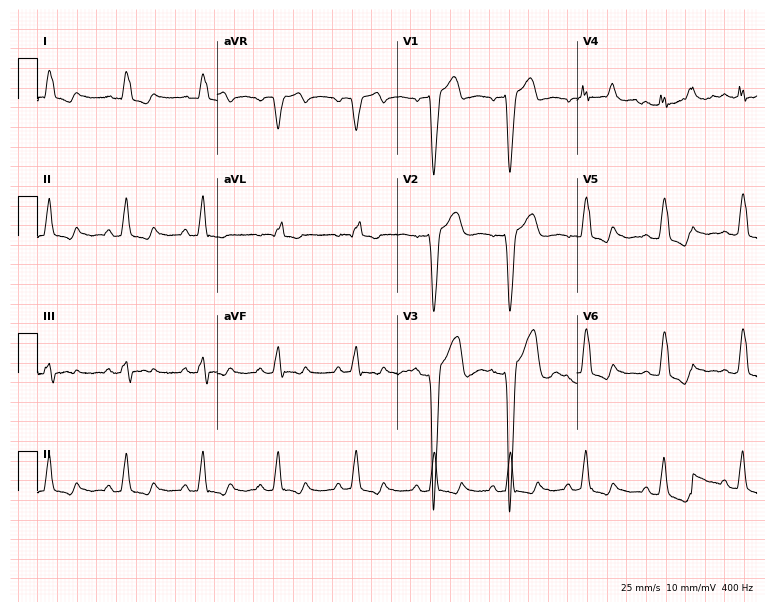
12-lead ECG (7.3-second recording at 400 Hz) from a male patient, 63 years old. Findings include left bundle branch block (LBBB).